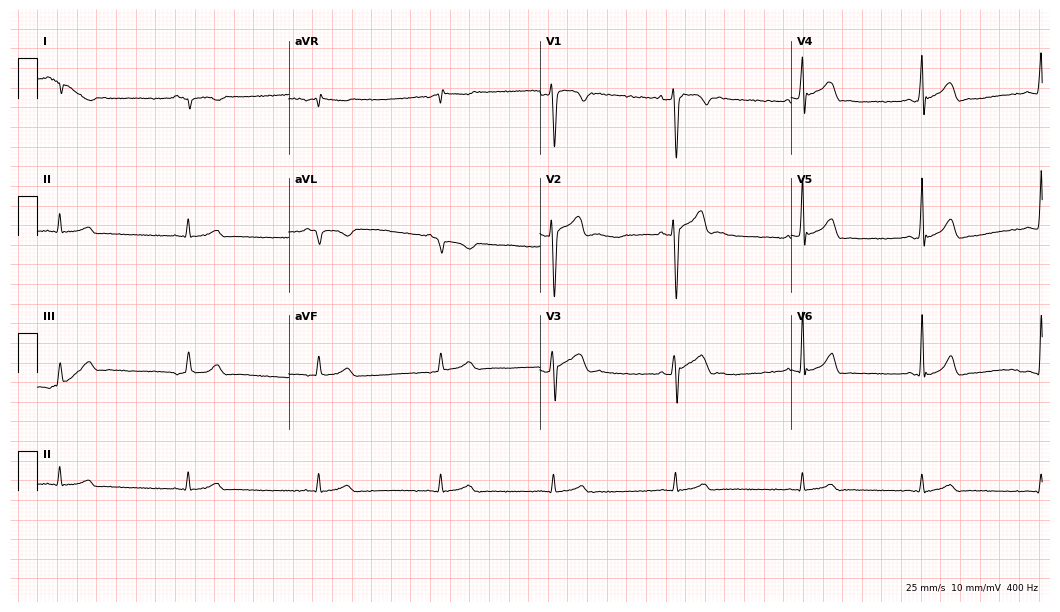
Standard 12-lead ECG recorded from a 27-year-old female (10.2-second recording at 400 Hz). Read as a normal ECG.